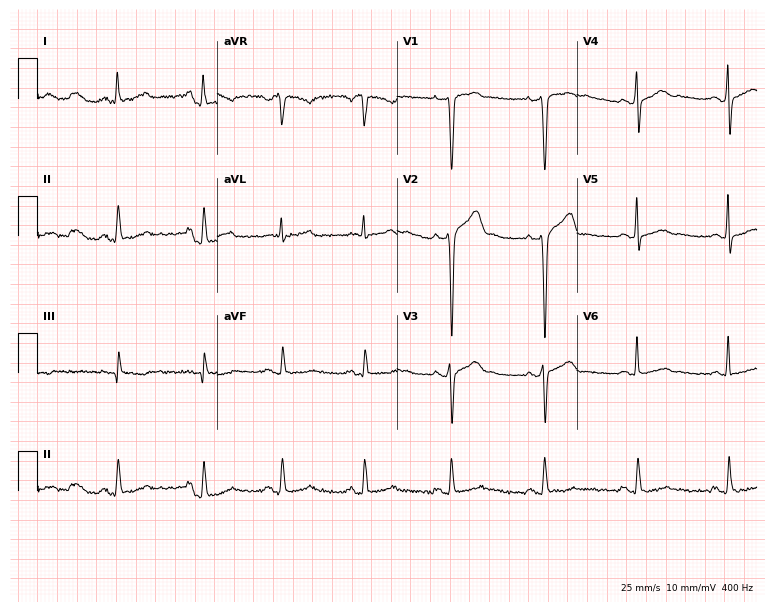
Resting 12-lead electrocardiogram (7.3-second recording at 400 Hz). Patient: a male, 46 years old. Read as a normal ECG.